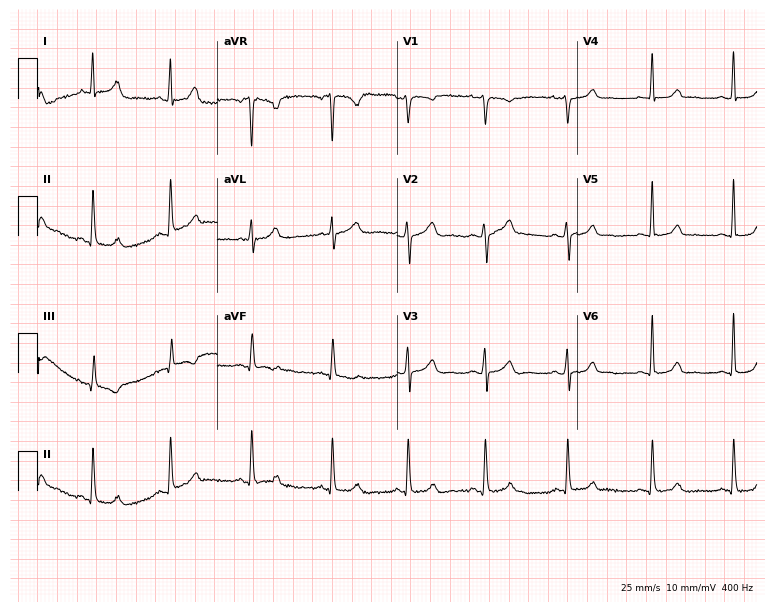
ECG (7.3-second recording at 400 Hz) — a 31-year-old woman. Screened for six findings — first-degree AV block, right bundle branch block, left bundle branch block, sinus bradycardia, atrial fibrillation, sinus tachycardia — none is recorded.